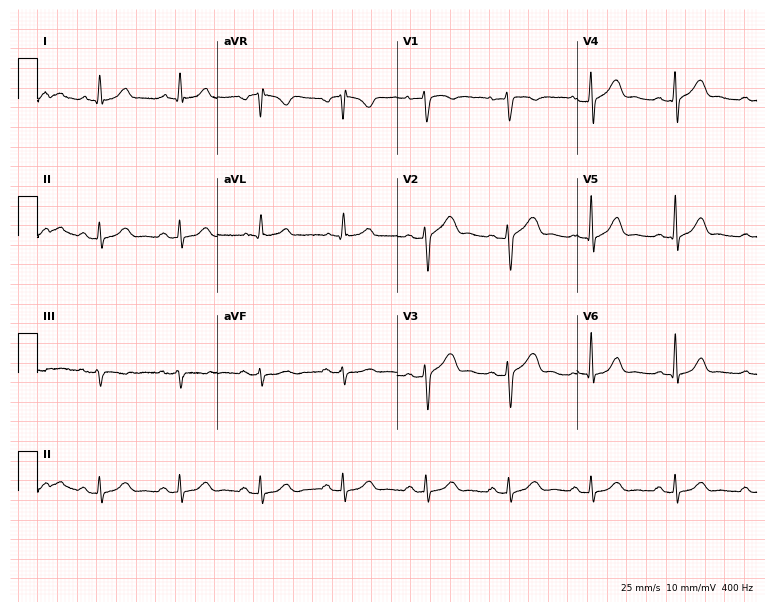
12-lead ECG from a man, 39 years old (7.3-second recording at 400 Hz). Recorded interpretation: within normal limits.